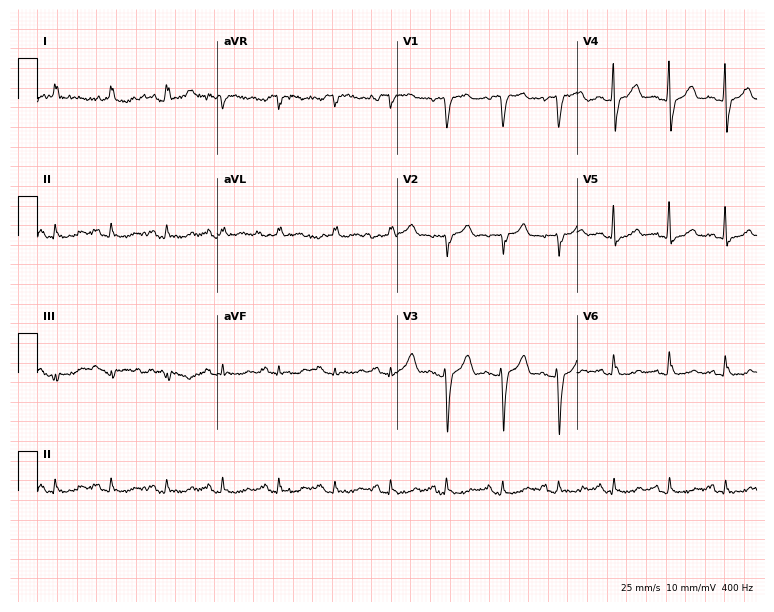
Resting 12-lead electrocardiogram (7.3-second recording at 400 Hz). Patient: a 79-year-old male. The tracing shows sinus tachycardia (a sinus rate of 100 beats per minute or more).